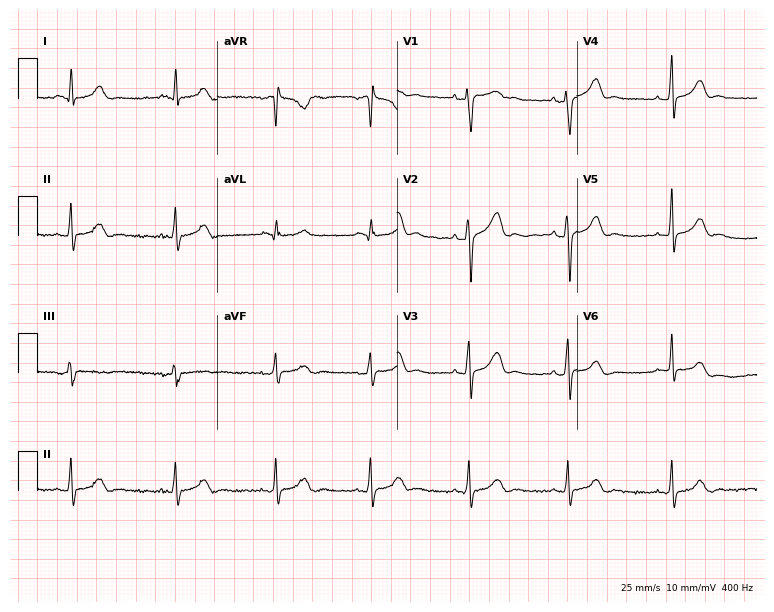
Electrocardiogram, a 39-year-old male patient. Overall reading on record: normal ECG.